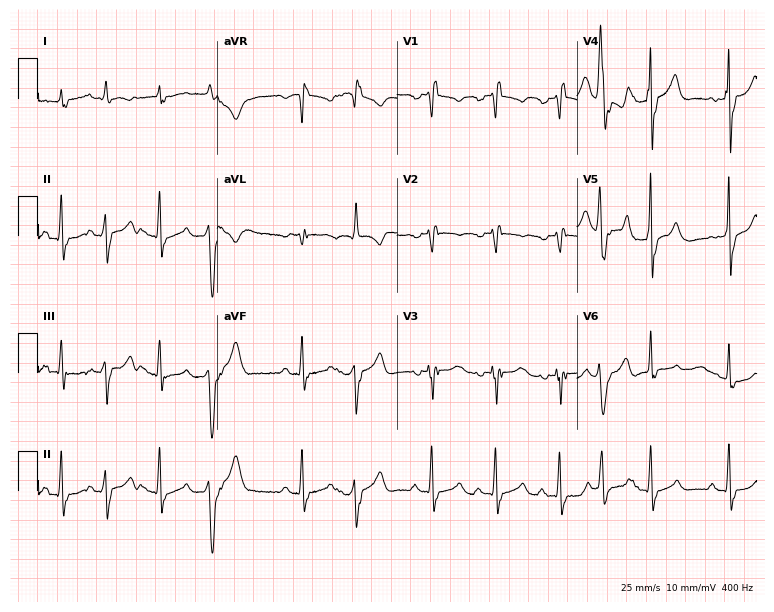
Standard 12-lead ECG recorded from an 80-year-old male (7.3-second recording at 400 Hz). The tracing shows right bundle branch block.